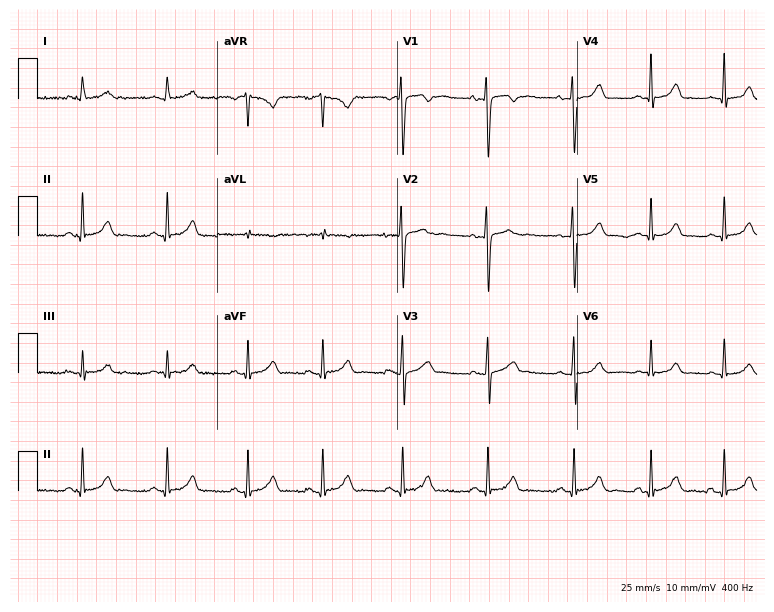
ECG — a female patient, 21 years old. Screened for six findings — first-degree AV block, right bundle branch block, left bundle branch block, sinus bradycardia, atrial fibrillation, sinus tachycardia — none is recorded.